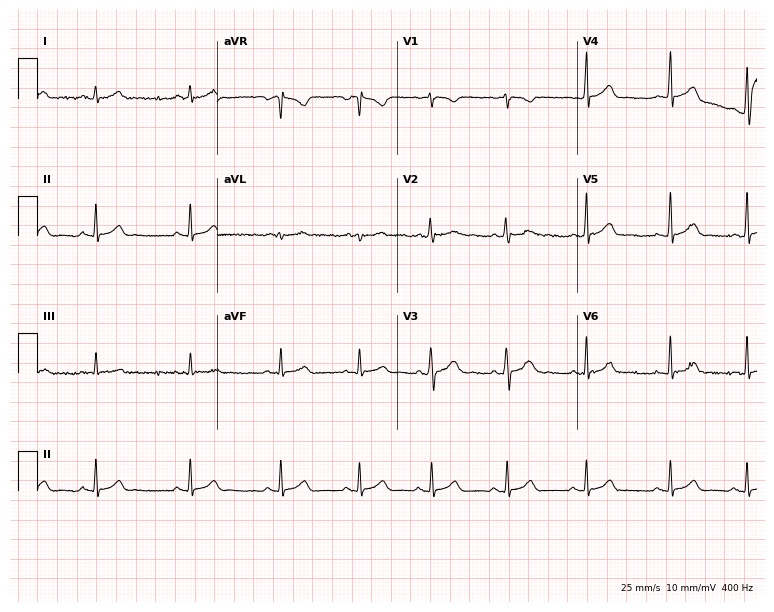
12-lead ECG from an 18-year-old female patient. Labelled as a normal ECG.